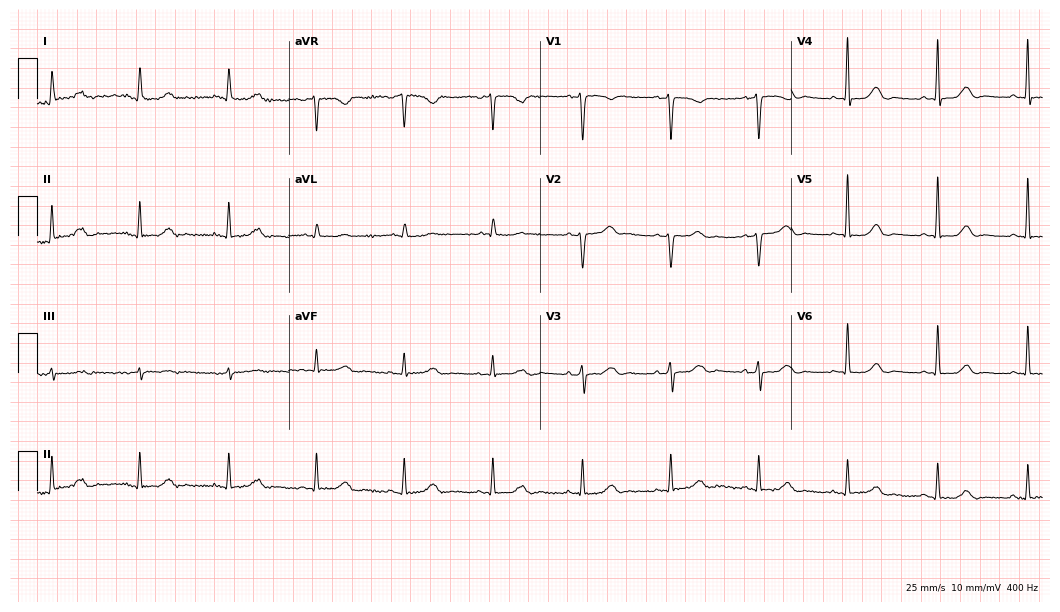
12-lead ECG from a 59-year-old woman (10.2-second recording at 400 Hz). Recorded interpretation: within normal limits.